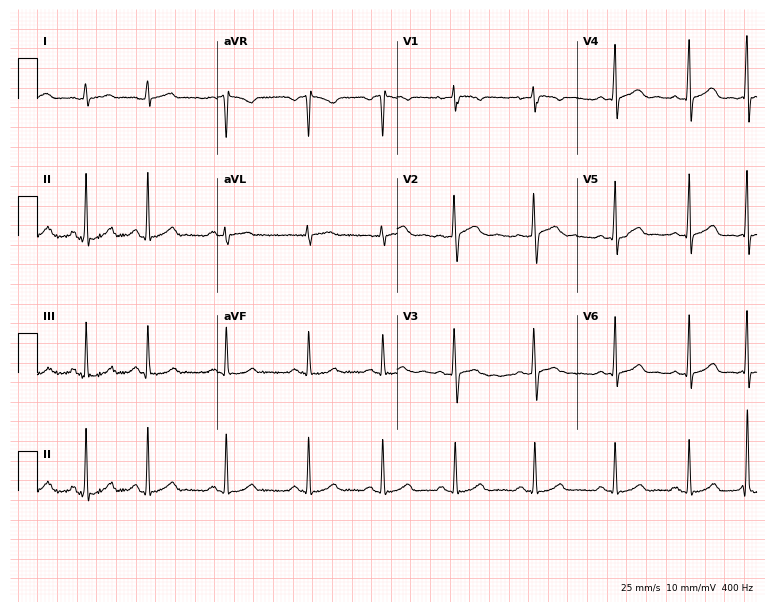
Resting 12-lead electrocardiogram. Patient: a woman, 24 years old. Read as a normal ECG.